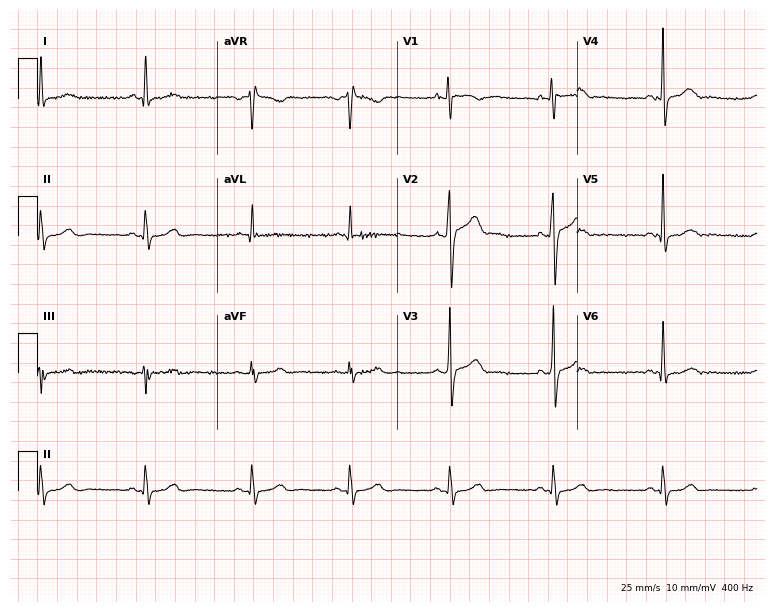
12-lead ECG from a male patient, 47 years old. Recorded interpretation: within normal limits.